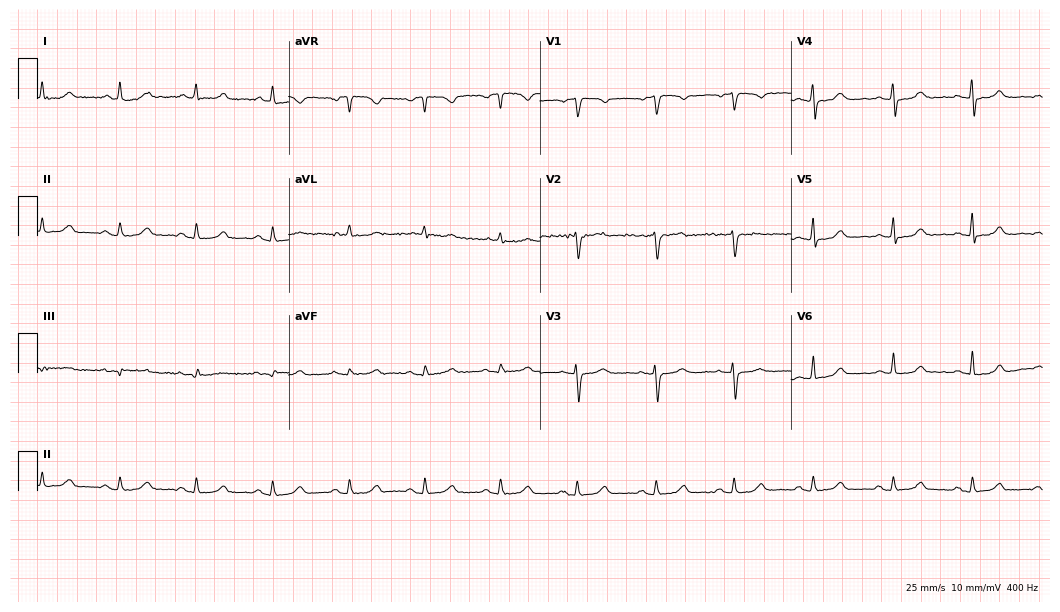
Resting 12-lead electrocardiogram (10.2-second recording at 400 Hz). Patient: a female, 66 years old. None of these six findings is recorded: first-degree AV block, right bundle branch block, left bundle branch block, sinus bradycardia, atrial fibrillation, sinus tachycardia.